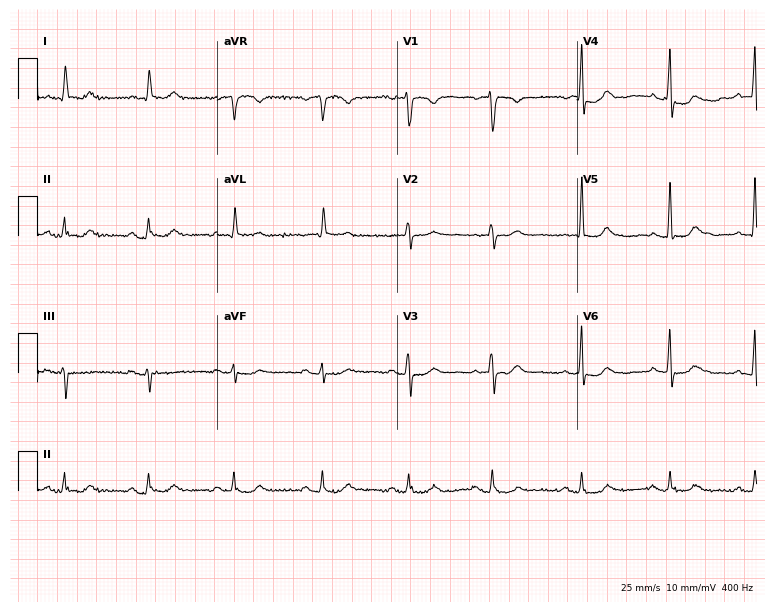
12-lead ECG from a woman, 78 years old. Screened for six findings — first-degree AV block, right bundle branch block, left bundle branch block, sinus bradycardia, atrial fibrillation, sinus tachycardia — none is recorded.